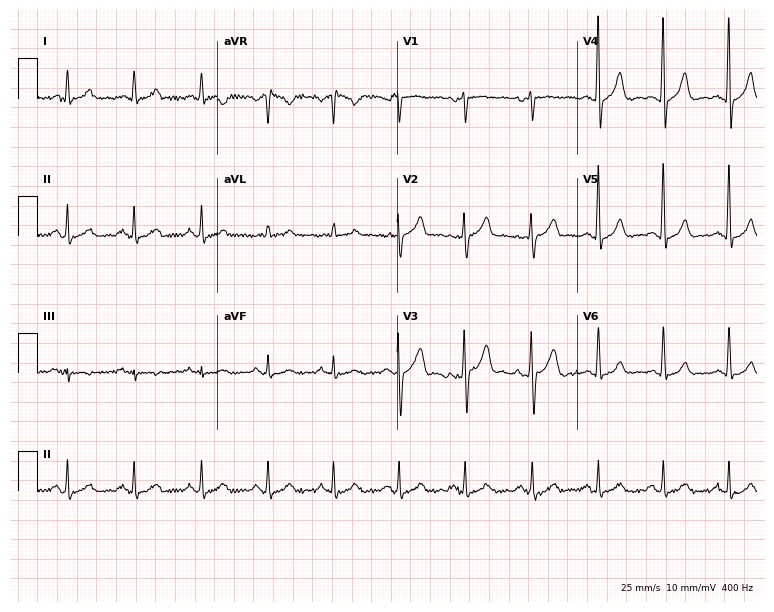
12-lead ECG (7.3-second recording at 400 Hz) from a man, 41 years old. Labelled as a normal ECG.